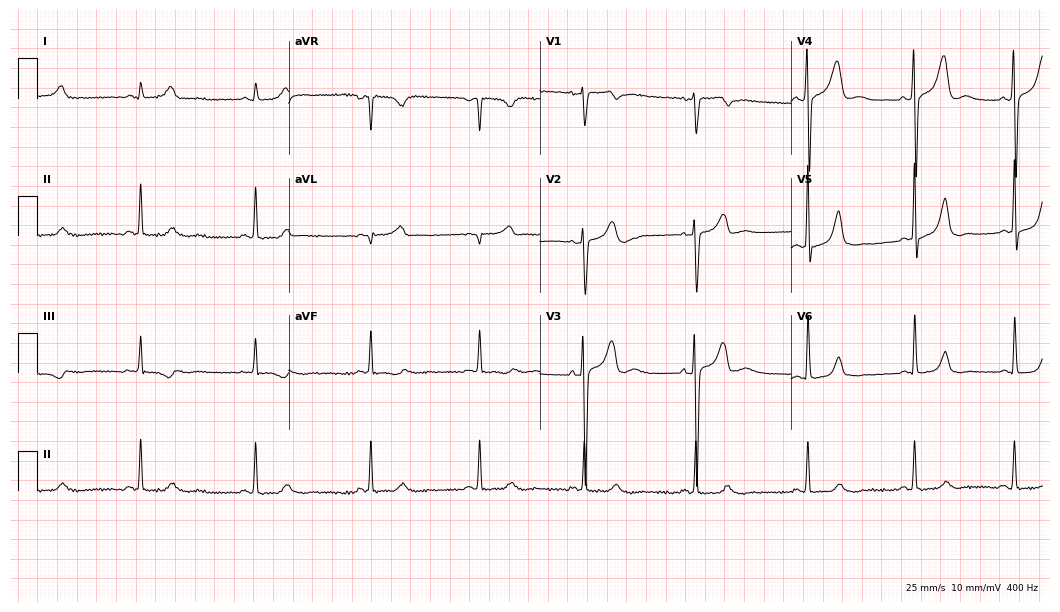
Resting 12-lead electrocardiogram. Patient: a female, 32 years old. None of these six findings is recorded: first-degree AV block, right bundle branch block, left bundle branch block, sinus bradycardia, atrial fibrillation, sinus tachycardia. Other findings, if any, are not listed.